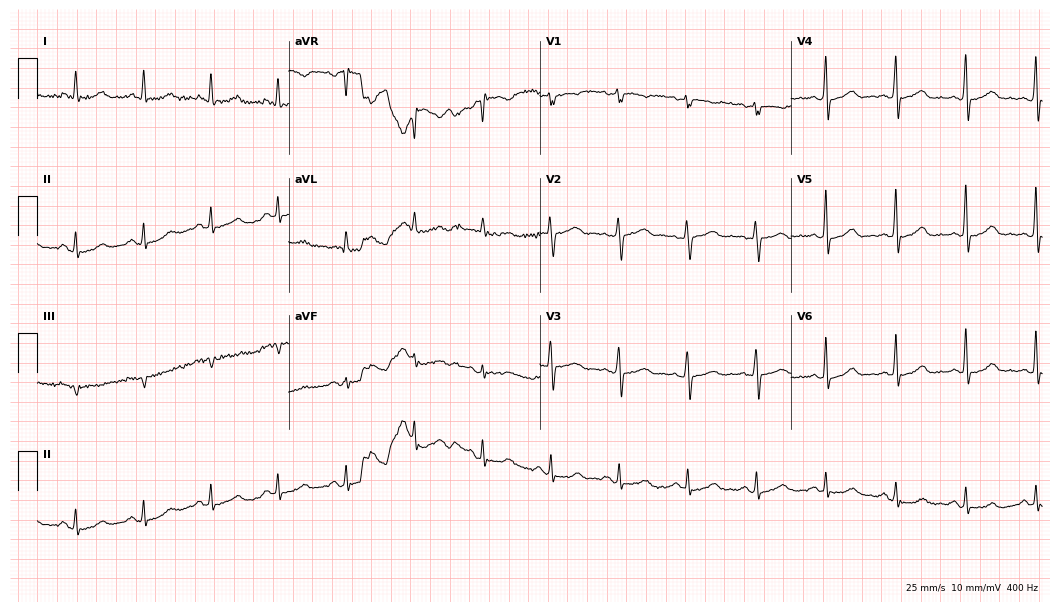
Electrocardiogram, a female patient, 63 years old. Overall reading on record: normal ECG.